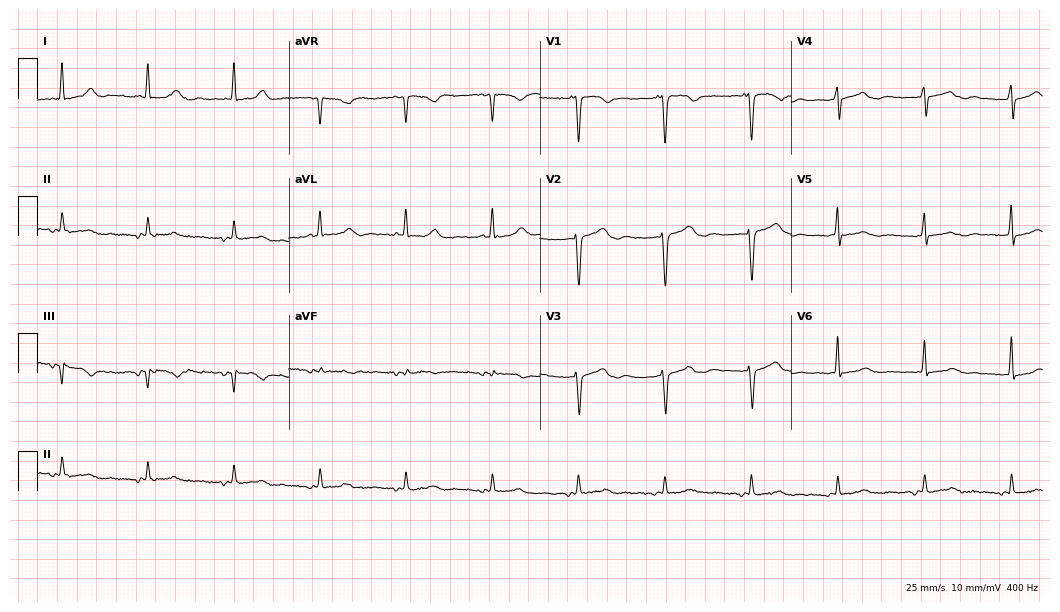
12-lead ECG from a 48-year-old female (10.2-second recording at 400 Hz). Recorded interpretation: within normal limits.